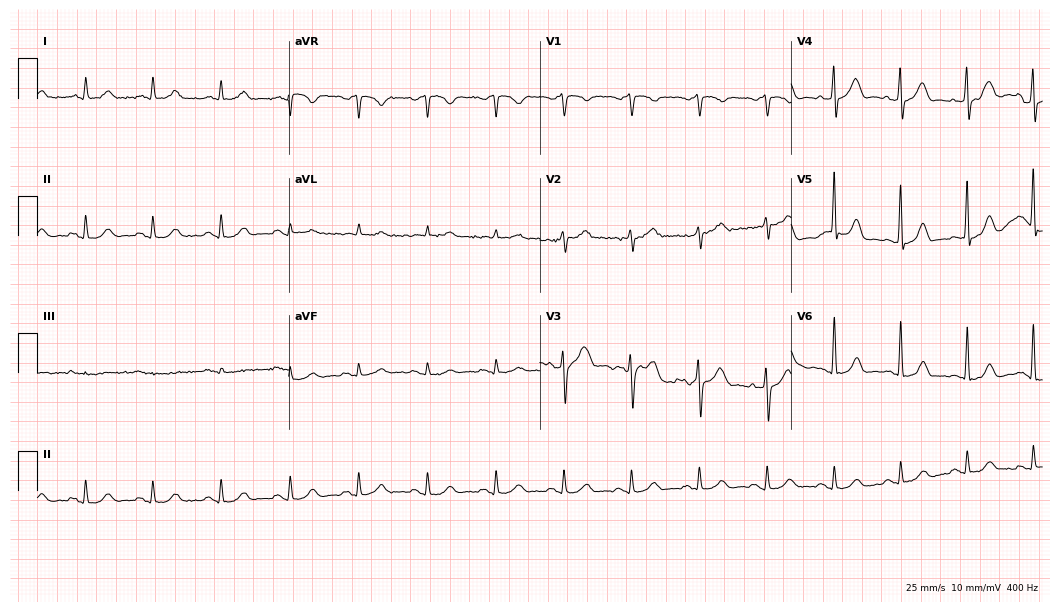
Standard 12-lead ECG recorded from a man, 61 years old. None of these six findings is recorded: first-degree AV block, right bundle branch block (RBBB), left bundle branch block (LBBB), sinus bradycardia, atrial fibrillation (AF), sinus tachycardia.